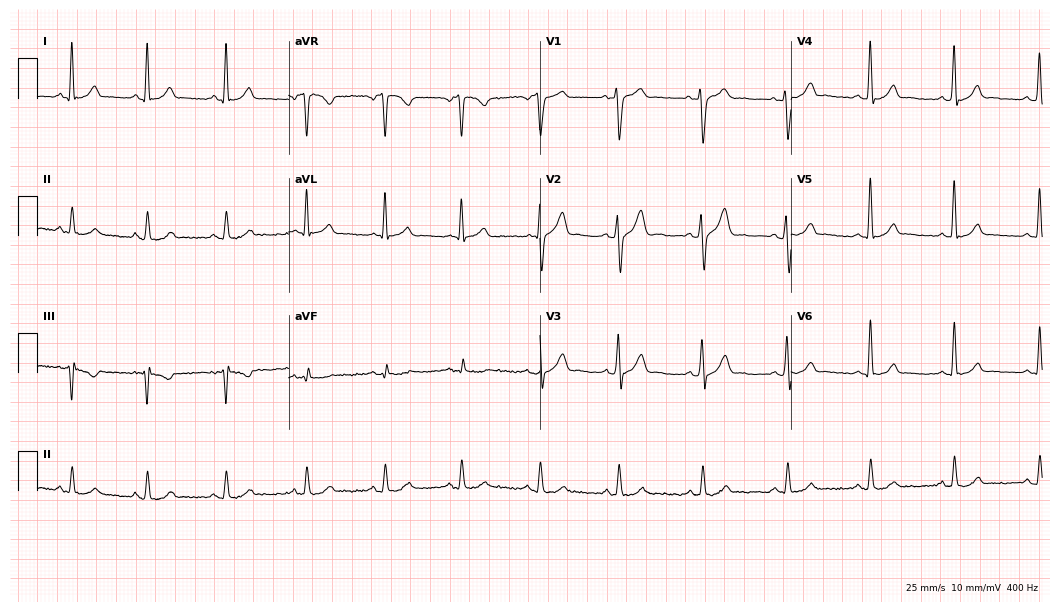
12-lead ECG from a 37-year-old male. Labelled as a normal ECG.